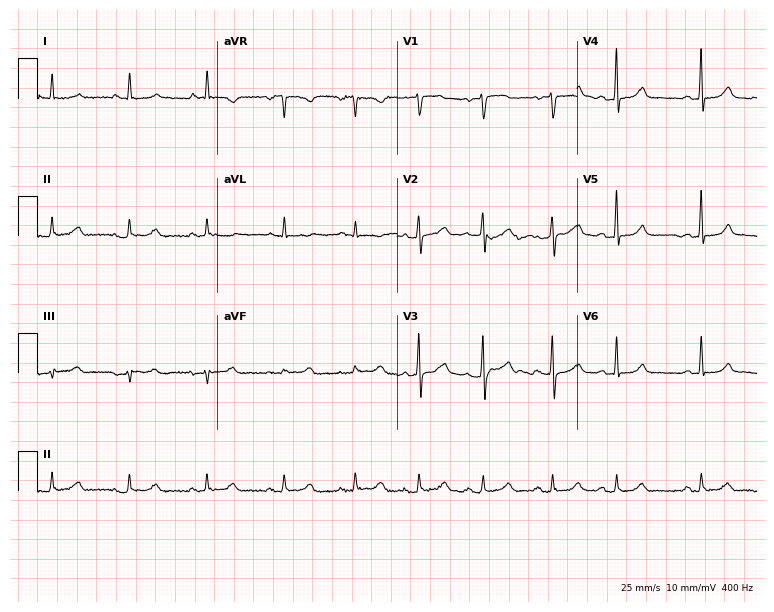
12-lead ECG (7.3-second recording at 400 Hz) from a 61-year-old female. Labelled as a normal ECG.